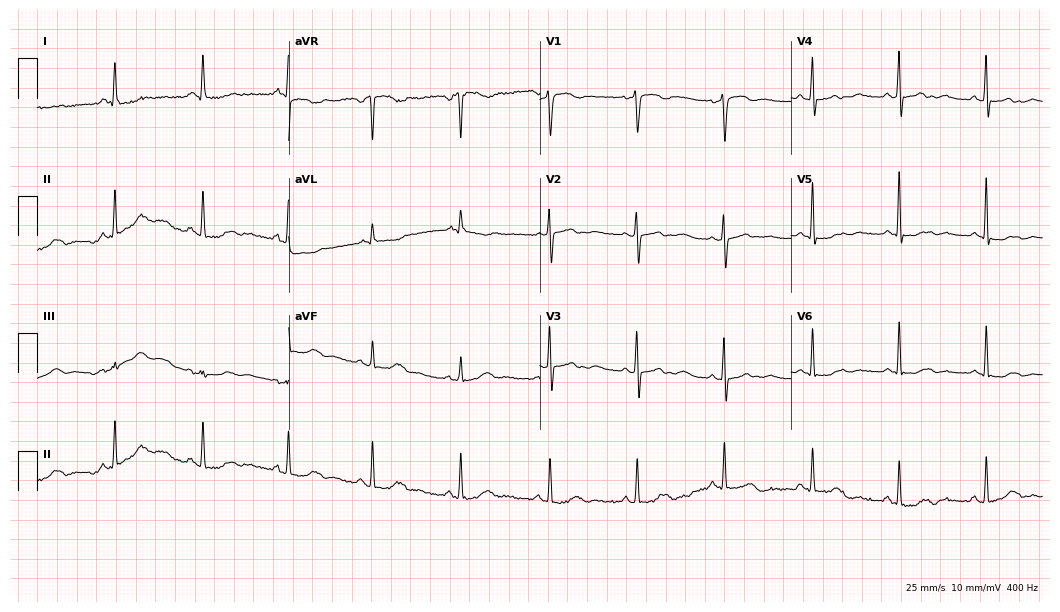
ECG — a female patient, 65 years old. Screened for six findings — first-degree AV block, right bundle branch block (RBBB), left bundle branch block (LBBB), sinus bradycardia, atrial fibrillation (AF), sinus tachycardia — none is recorded.